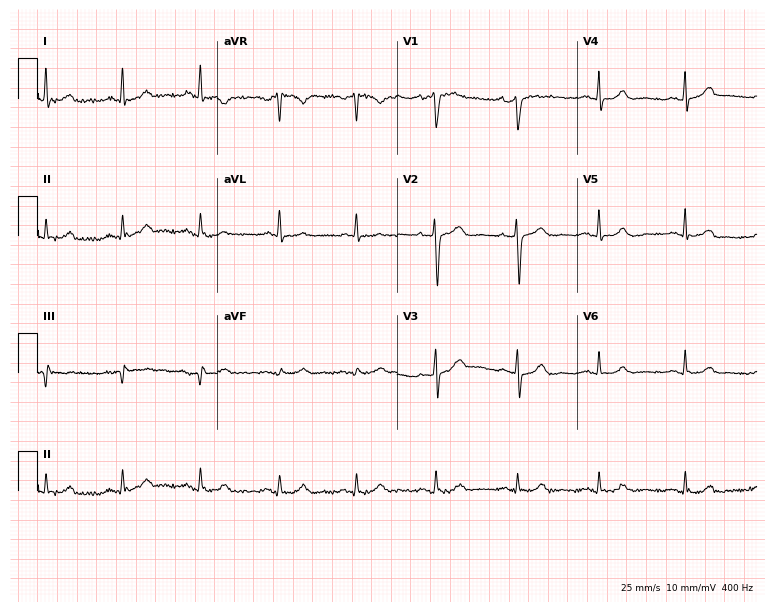
ECG (7.3-second recording at 400 Hz) — a male, 60 years old. Labelled as a normal ECG.